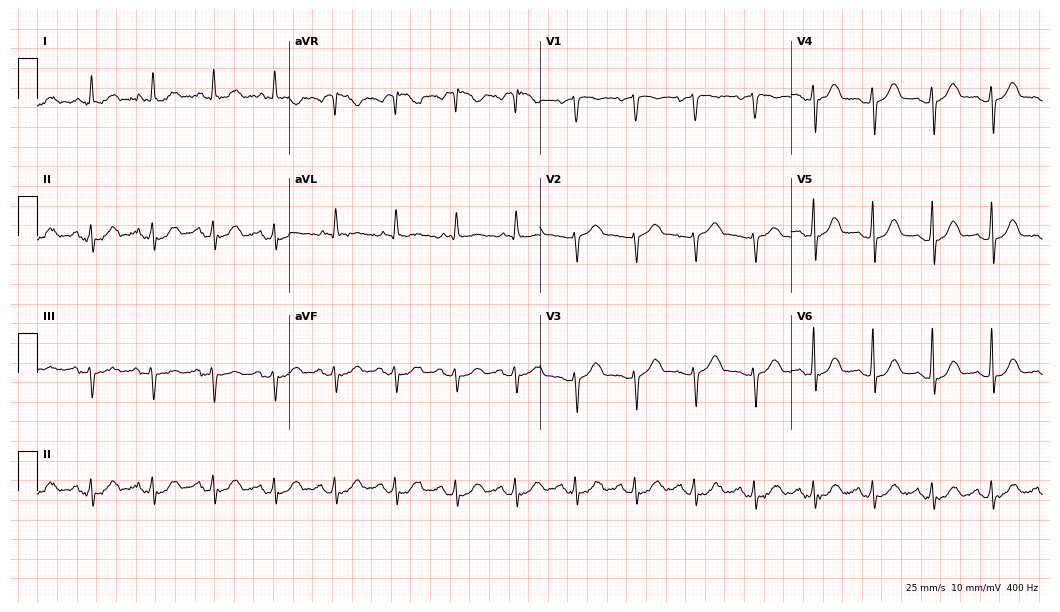
Standard 12-lead ECG recorded from an 82-year-old man (10.2-second recording at 400 Hz). None of these six findings is recorded: first-degree AV block, right bundle branch block, left bundle branch block, sinus bradycardia, atrial fibrillation, sinus tachycardia.